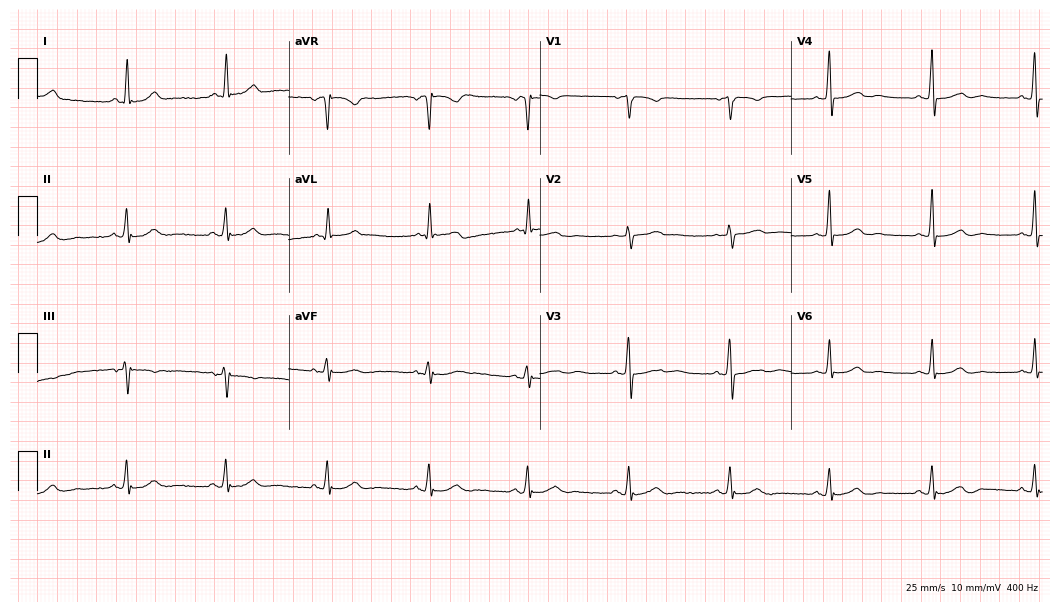
Electrocardiogram (10.2-second recording at 400 Hz), a 66-year-old woman. Of the six screened findings (first-degree AV block, right bundle branch block, left bundle branch block, sinus bradycardia, atrial fibrillation, sinus tachycardia), none is recorded.